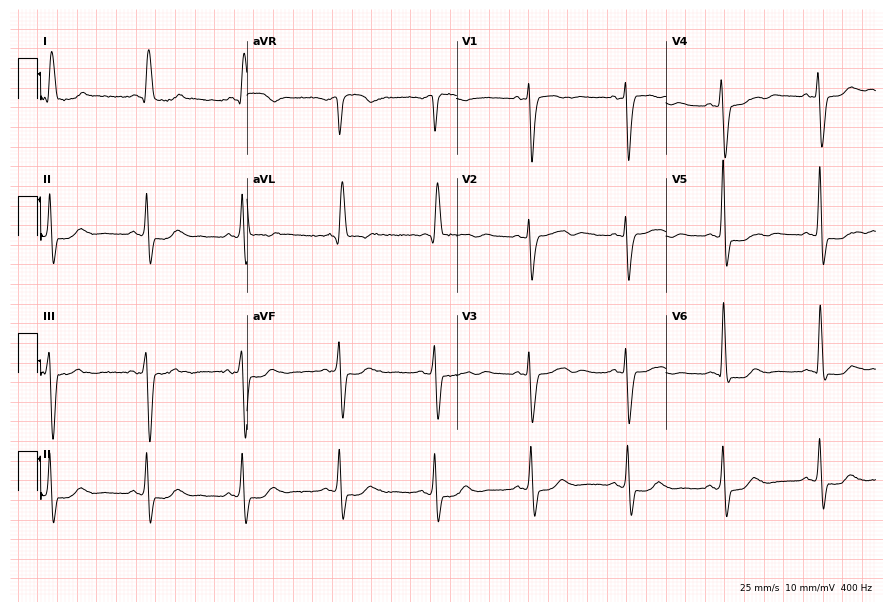
ECG (8.5-second recording at 400 Hz) — a female, 80 years old. Findings include left bundle branch block.